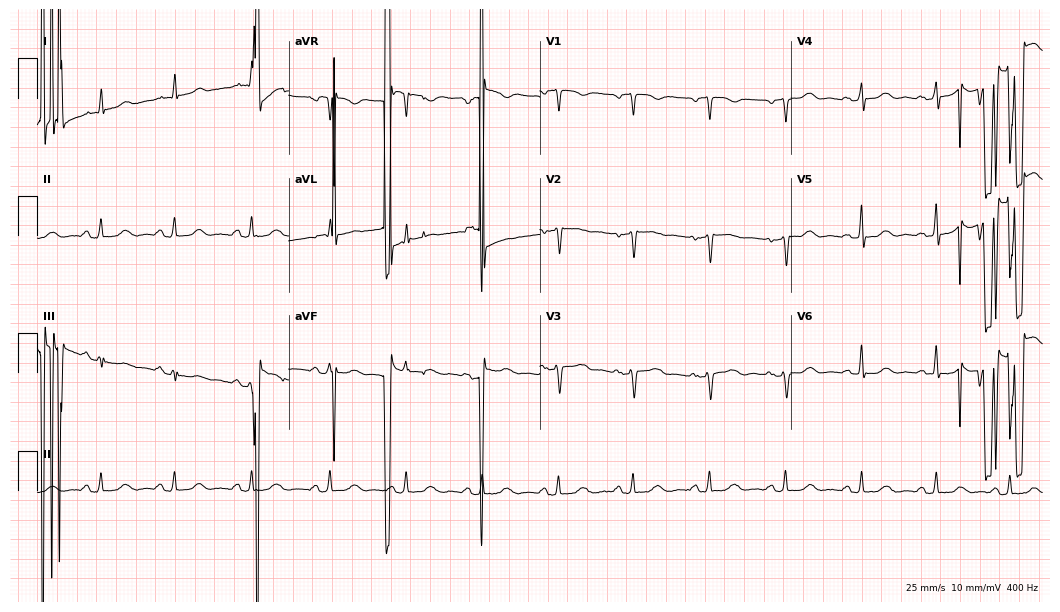
12-lead ECG from a woman, 56 years old. No first-degree AV block, right bundle branch block (RBBB), left bundle branch block (LBBB), sinus bradycardia, atrial fibrillation (AF) or sinus tachycardia recorded for this tracing. Findings outside these six are not listed.